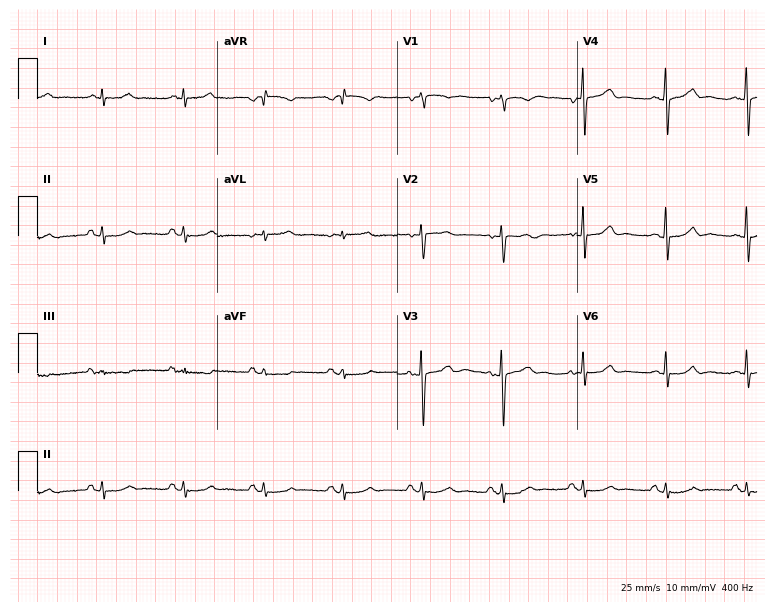
Standard 12-lead ECG recorded from an 80-year-old male. Read as a normal ECG.